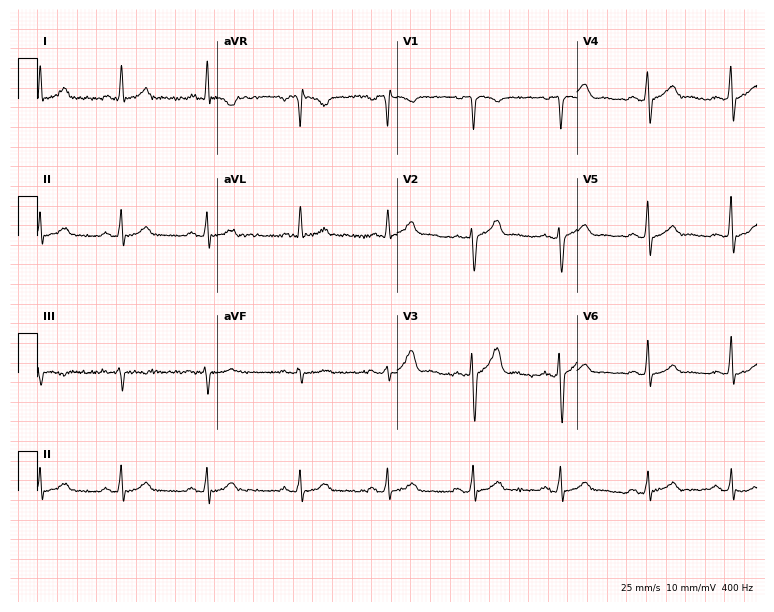
ECG (7.3-second recording at 400 Hz) — a 34-year-old man. Labelled as a normal ECG.